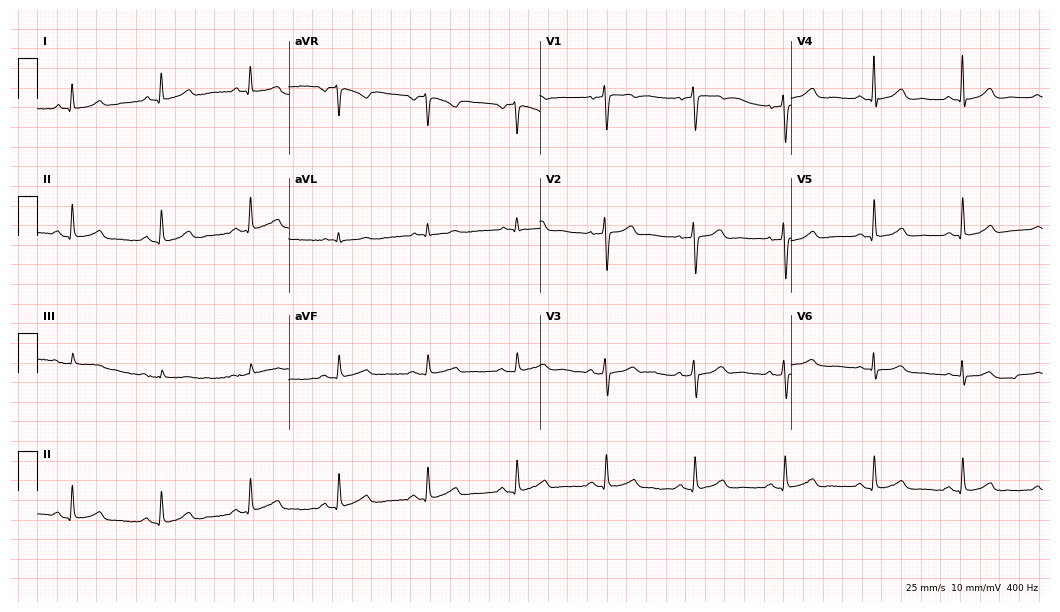
Electrocardiogram, a female patient, 44 years old. Overall reading on record: normal ECG.